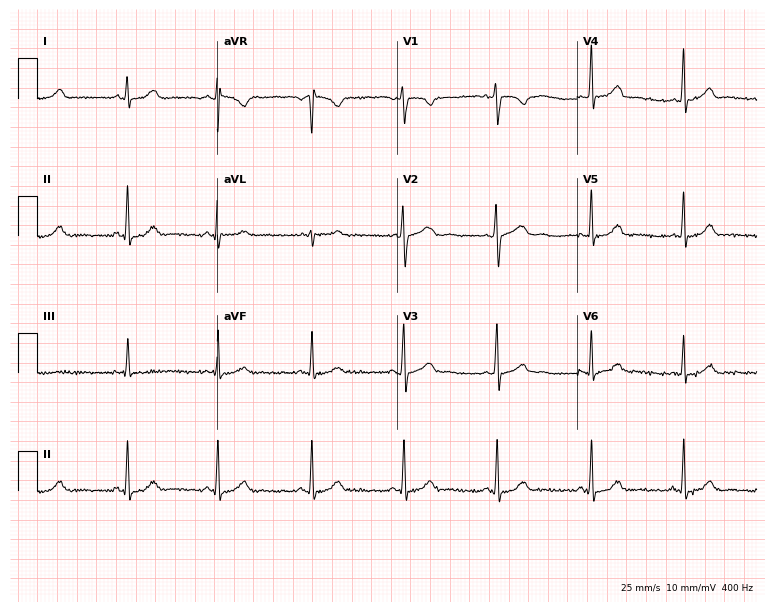
Electrocardiogram, a 27-year-old female patient. Overall reading on record: normal ECG.